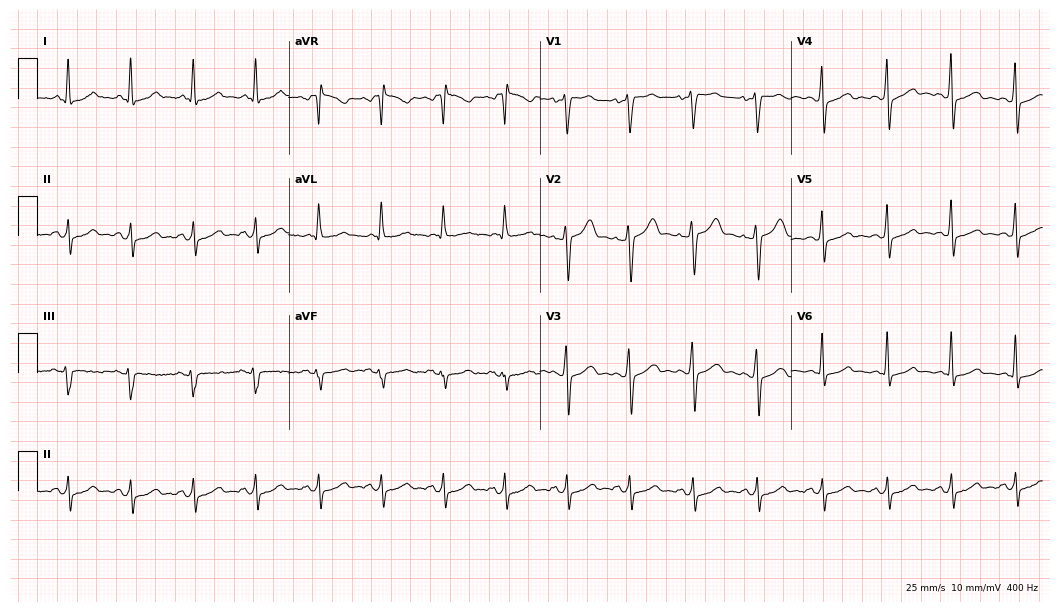
ECG (10.2-second recording at 400 Hz) — a 47-year-old female patient. Screened for six findings — first-degree AV block, right bundle branch block (RBBB), left bundle branch block (LBBB), sinus bradycardia, atrial fibrillation (AF), sinus tachycardia — none is recorded. Only these six findings were labelled.